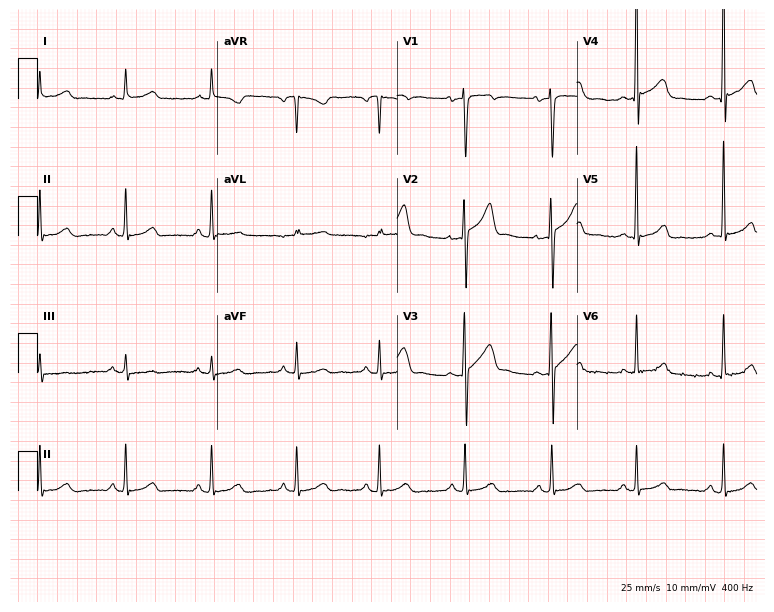
12-lead ECG (7.3-second recording at 400 Hz) from a male patient, 55 years old. Screened for six findings — first-degree AV block, right bundle branch block, left bundle branch block, sinus bradycardia, atrial fibrillation, sinus tachycardia — none is recorded.